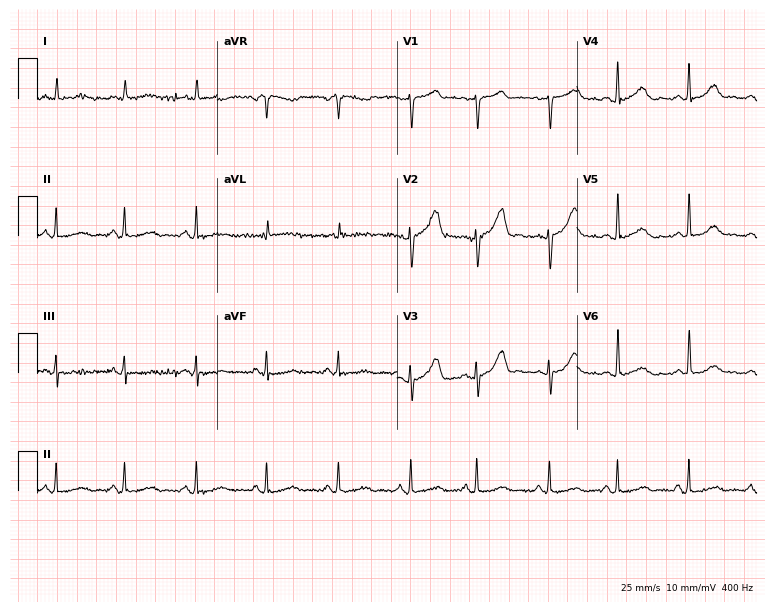
Resting 12-lead electrocardiogram. Patient: an 82-year-old female. None of these six findings is recorded: first-degree AV block, right bundle branch block, left bundle branch block, sinus bradycardia, atrial fibrillation, sinus tachycardia.